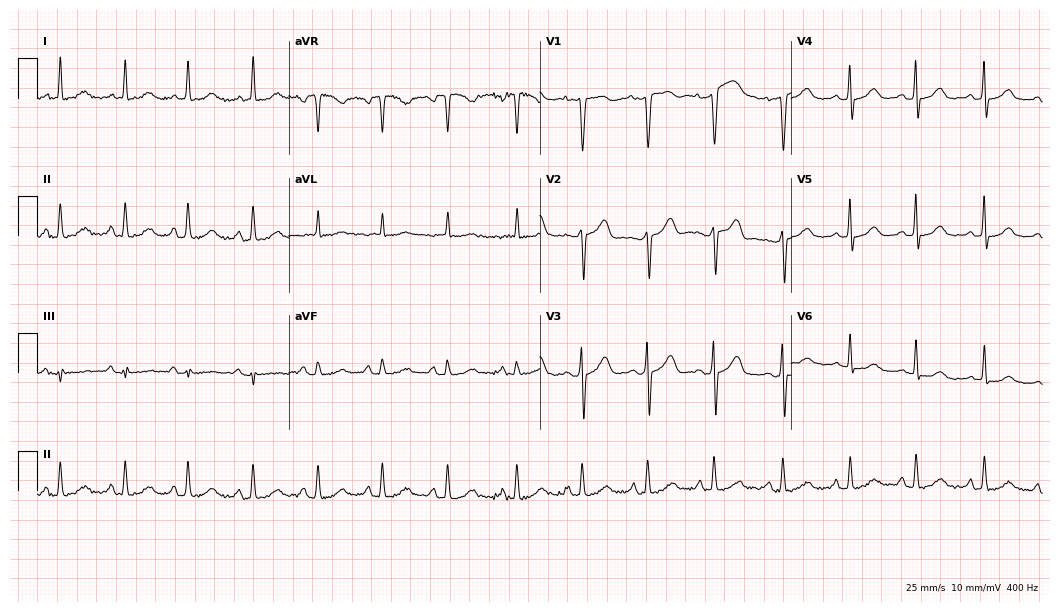
12-lead ECG from a woman, 58 years old. Labelled as a normal ECG.